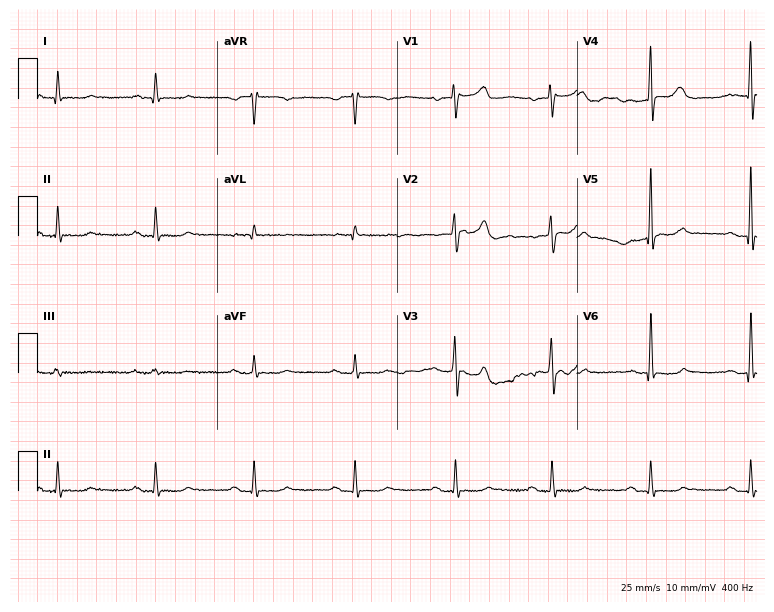
Resting 12-lead electrocardiogram. Patient: a woman, 70 years old. The tracing shows first-degree AV block.